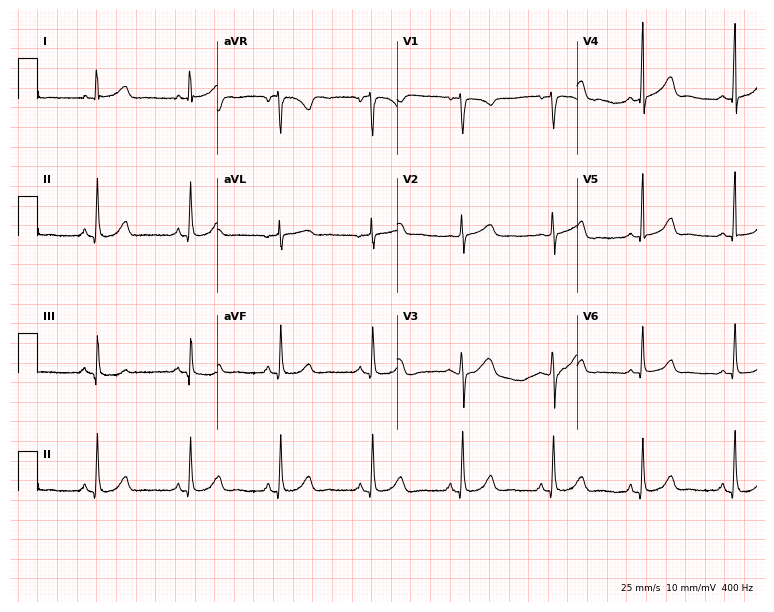
12-lead ECG (7.3-second recording at 400 Hz) from a female patient, 46 years old. Labelled as a normal ECG.